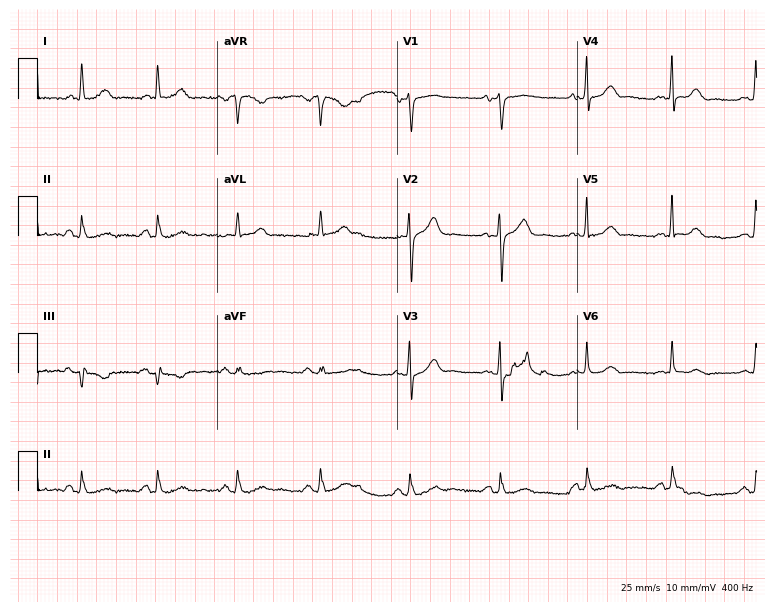
12-lead ECG from a 59-year-old male patient. Recorded interpretation: within normal limits.